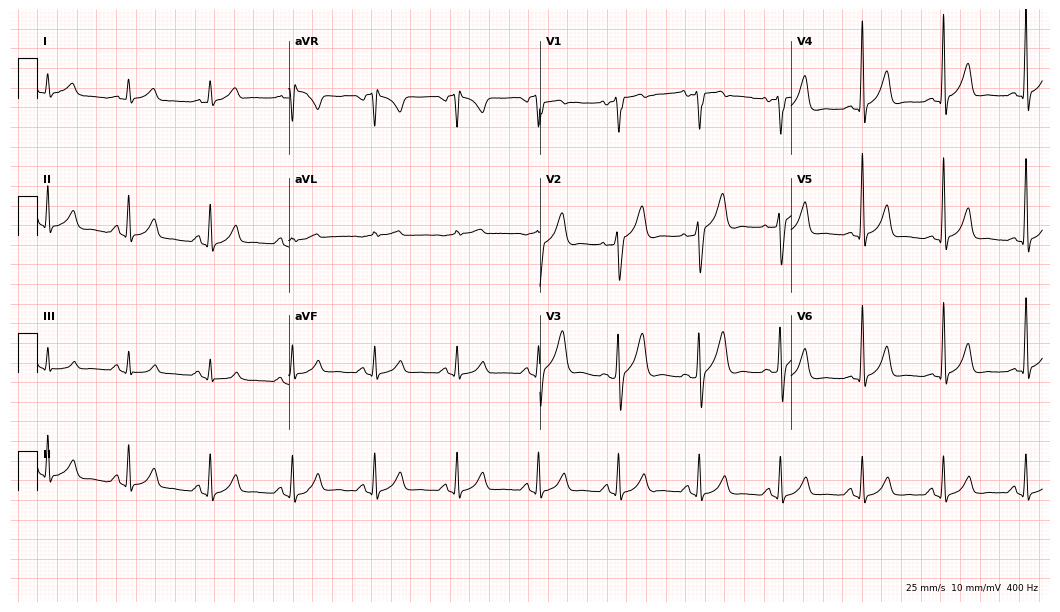
Resting 12-lead electrocardiogram (10.2-second recording at 400 Hz). Patient: a male, 55 years old. None of these six findings is recorded: first-degree AV block, right bundle branch block, left bundle branch block, sinus bradycardia, atrial fibrillation, sinus tachycardia.